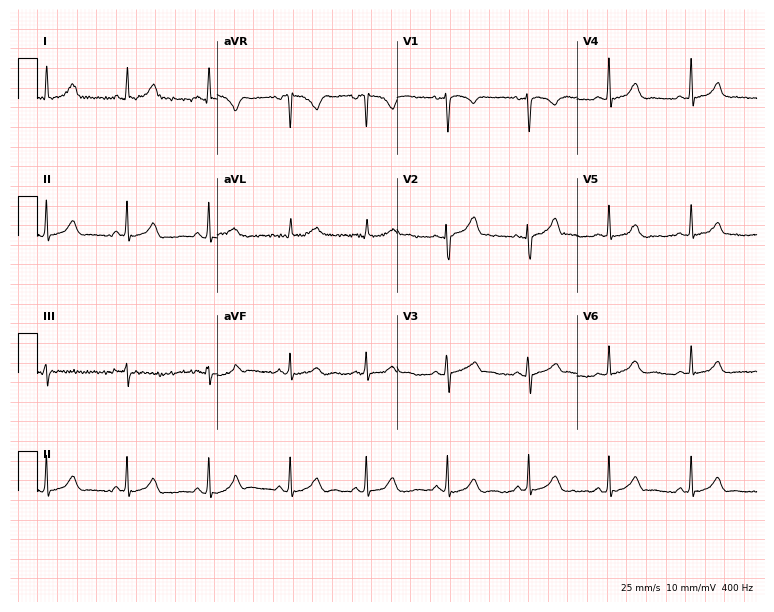
12-lead ECG from a 25-year-old woman. Recorded interpretation: within normal limits.